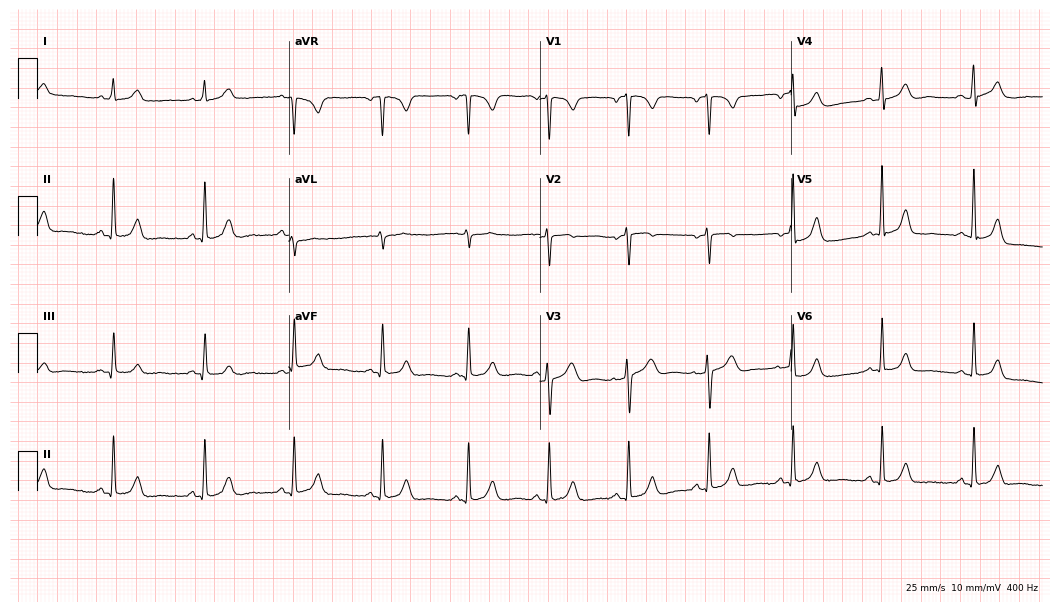
12-lead ECG from a female, 47 years old (10.2-second recording at 400 Hz). Recorded interpretation: within normal limits.